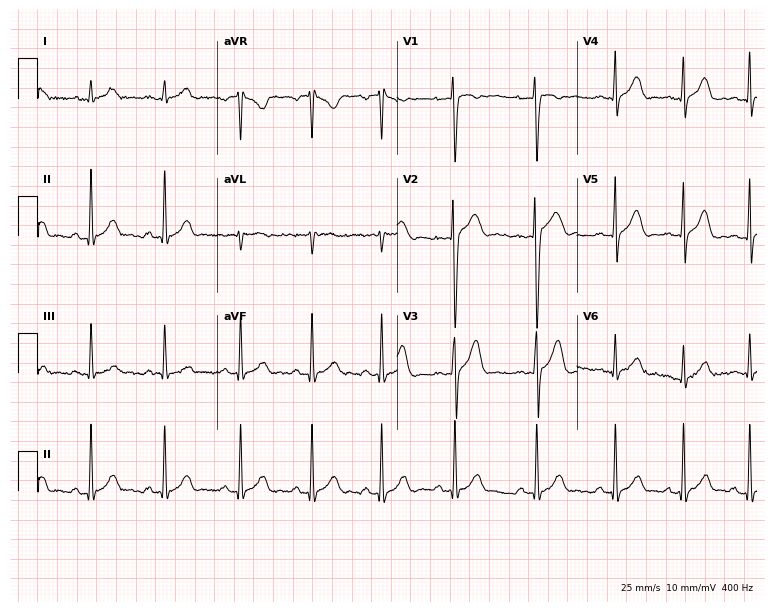
12-lead ECG (7.3-second recording at 400 Hz) from a female patient, 27 years old. Screened for six findings — first-degree AV block, right bundle branch block, left bundle branch block, sinus bradycardia, atrial fibrillation, sinus tachycardia — none is recorded.